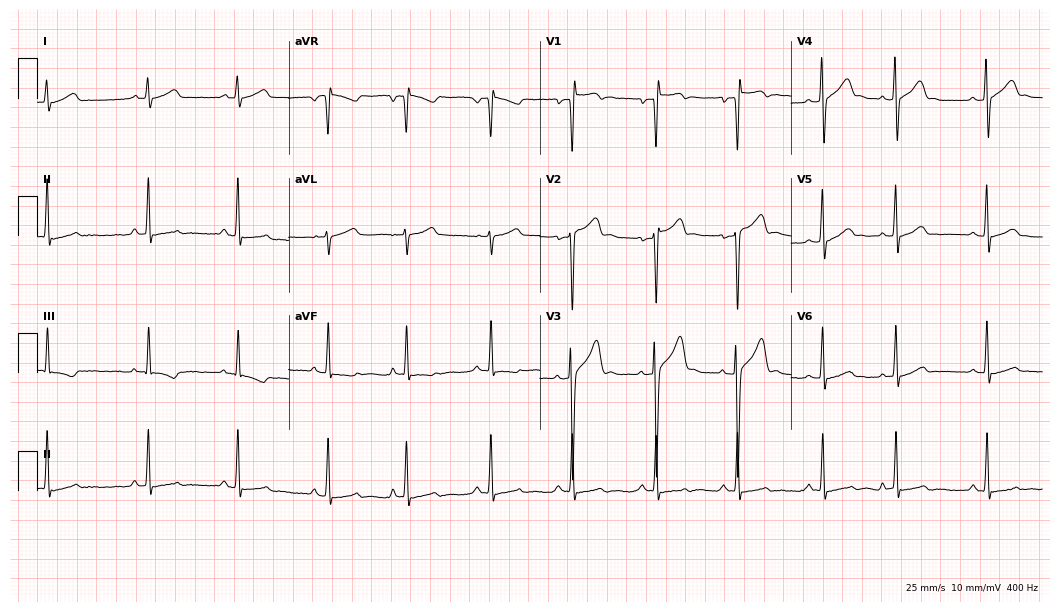
Standard 12-lead ECG recorded from a 24-year-old male (10.2-second recording at 400 Hz). None of these six findings is recorded: first-degree AV block, right bundle branch block (RBBB), left bundle branch block (LBBB), sinus bradycardia, atrial fibrillation (AF), sinus tachycardia.